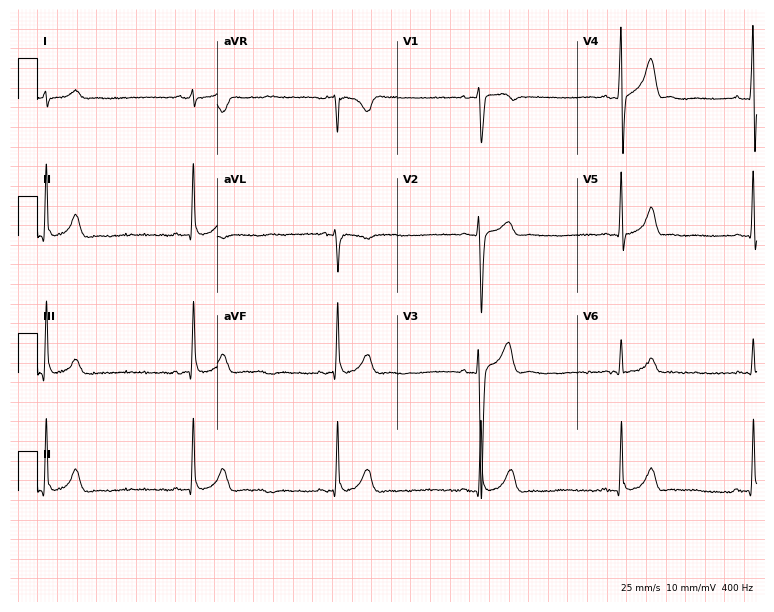
12-lead ECG from a man, 21 years old. Shows sinus bradycardia (a sinus rate of 50 beats per minute or less).